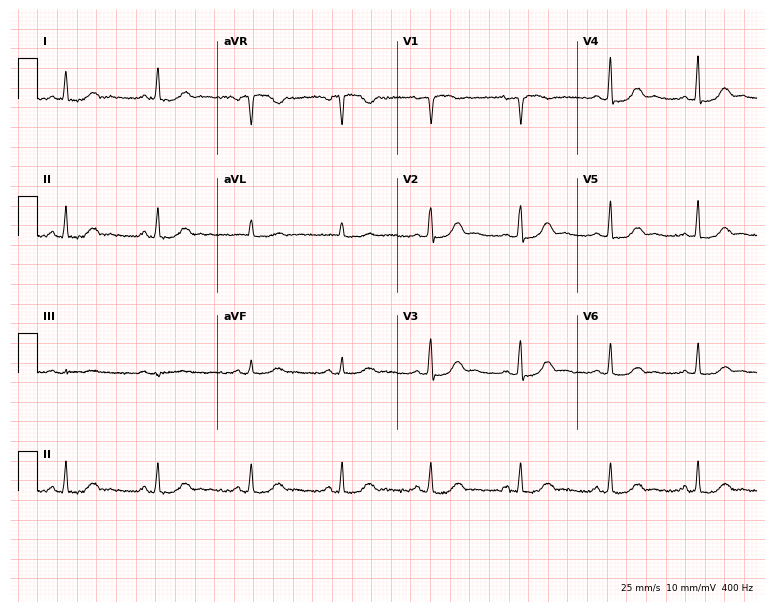
ECG — a 61-year-old female. Labelled as a normal ECG.